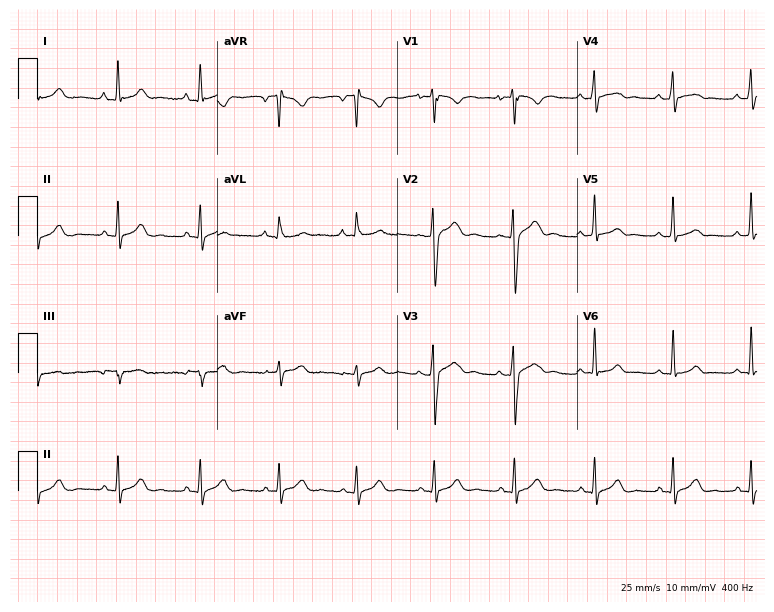
12-lead ECG from a male patient, 30 years old. Labelled as a normal ECG.